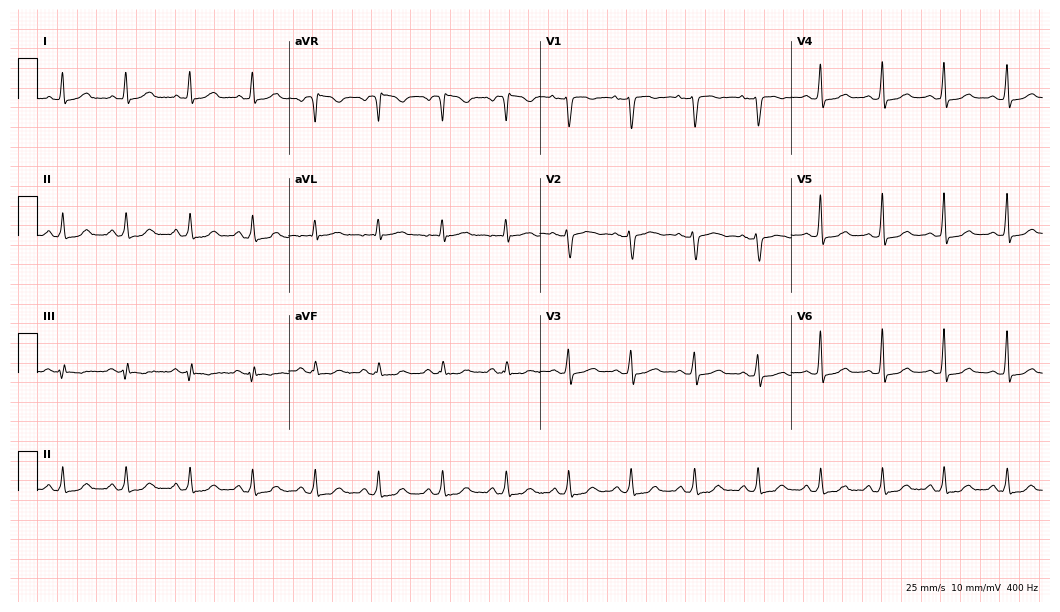
12-lead ECG from a 44-year-old woman (10.2-second recording at 400 Hz). Recorded interpretation: within normal limits.